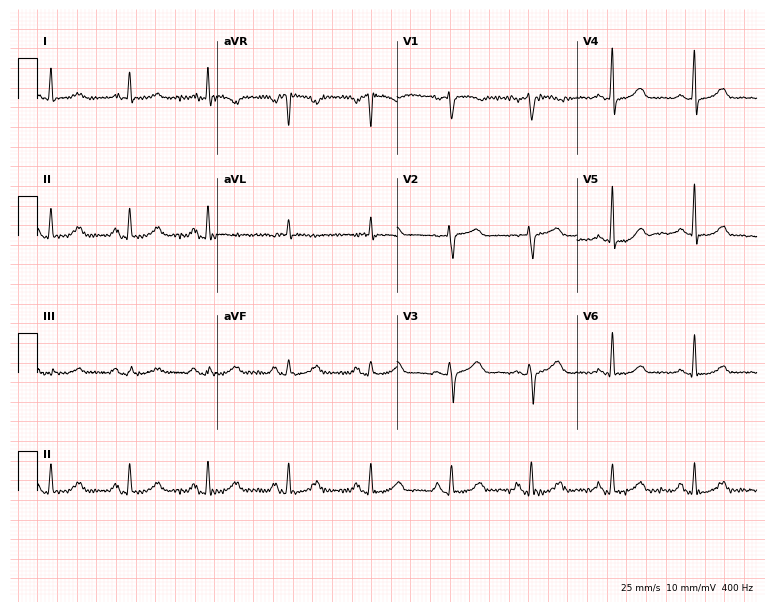
12-lead ECG from a 59-year-old female patient. Recorded interpretation: within normal limits.